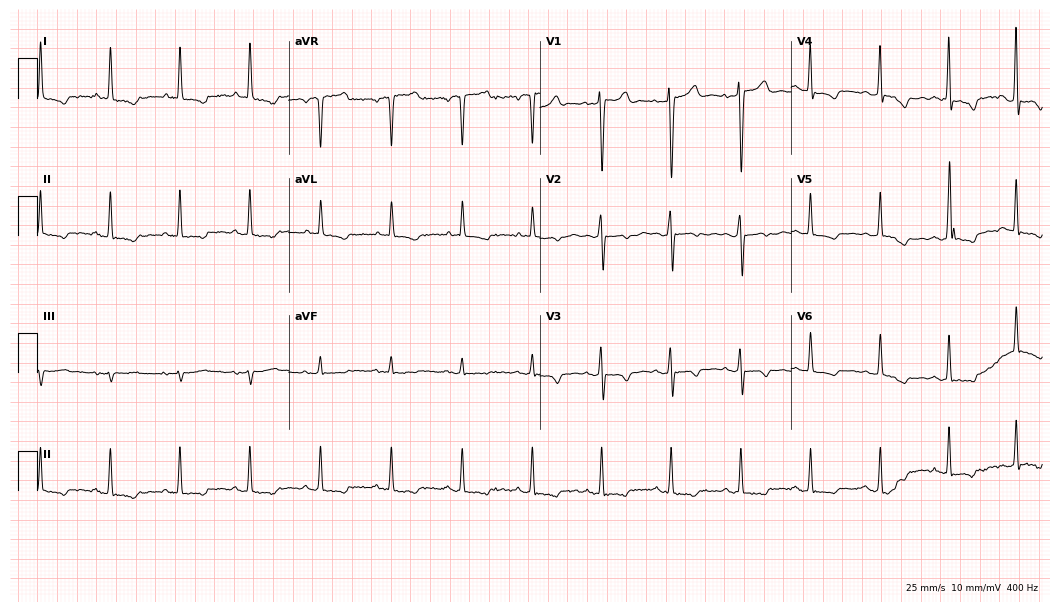
Standard 12-lead ECG recorded from a 56-year-old female patient. None of these six findings is recorded: first-degree AV block, right bundle branch block (RBBB), left bundle branch block (LBBB), sinus bradycardia, atrial fibrillation (AF), sinus tachycardia.